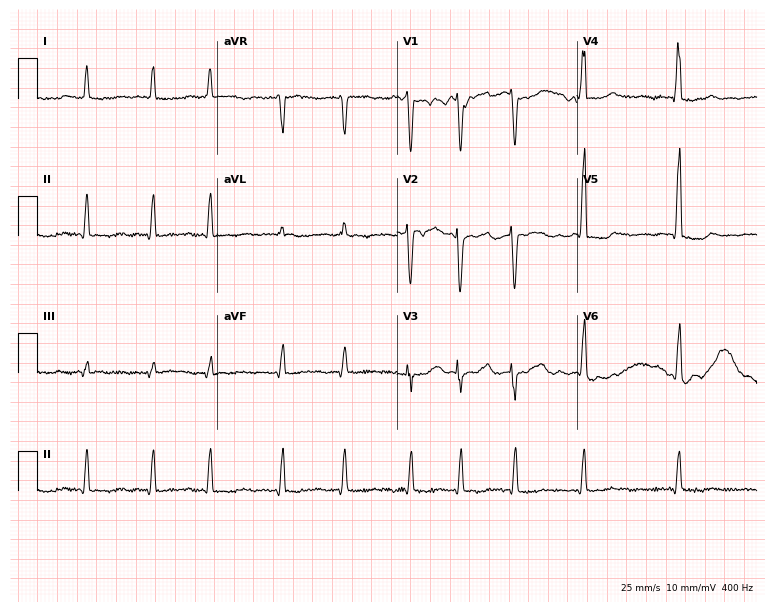
12-lead ECG from a 67-year-old female patient (7.3-second recording at 400 Hz). Shows atrial fibrillation.